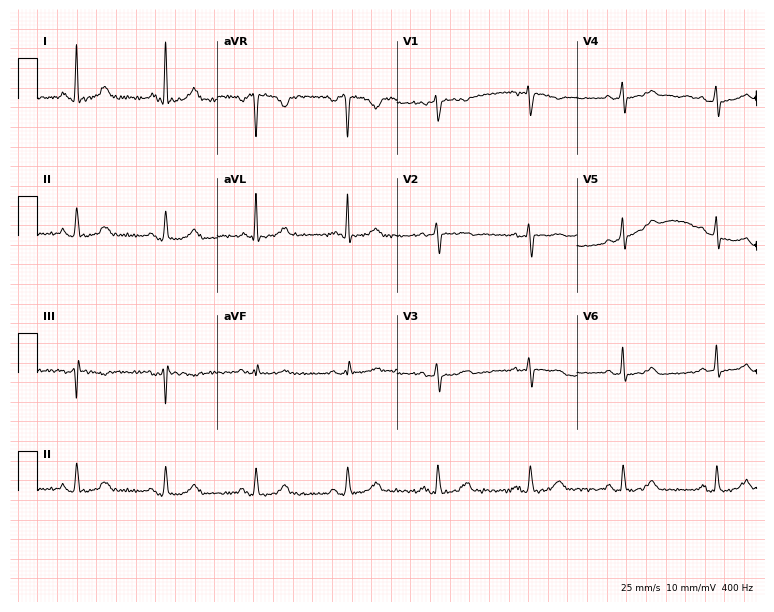
Standard 12-lead ECG recorded from a female, 62 years old. None of these six findings is recorded: first-degree AV block, right bundle branch block (RBBB), left bundle branch block (LBBB), sinus bradycardia, atrial fibrillation (AF), sinus tachycardia.